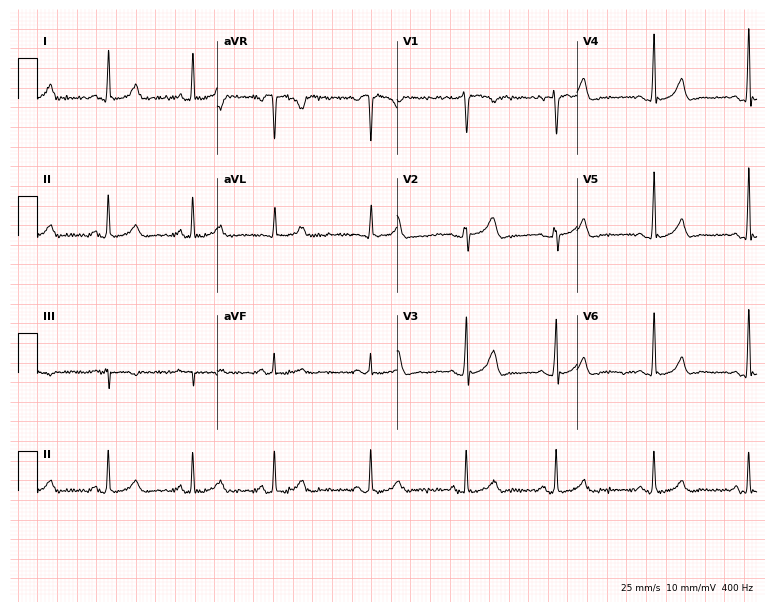
Resting 12-lead electrocardiogram. Patient: a female, 24 years old. Read as a normal ECG.